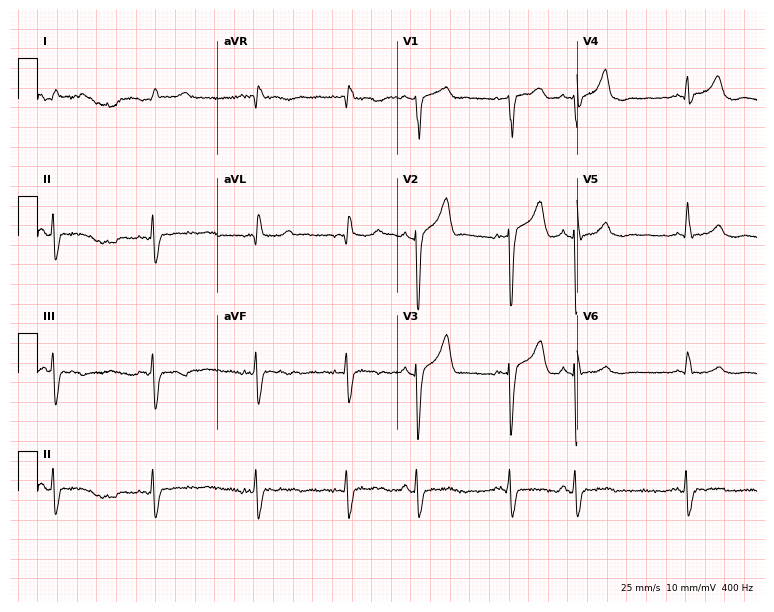
Standard 12-lead ECG recorded from a male patient, 81 years old (7.3-second recording at 400 Hz). None of these six findings is recorded: first-degree AV block, right bundle branch block (RBBB), left bundle branch block (LBBB), sinus bradycardia, atrial fibrillation (AF), sinus tachycardia.